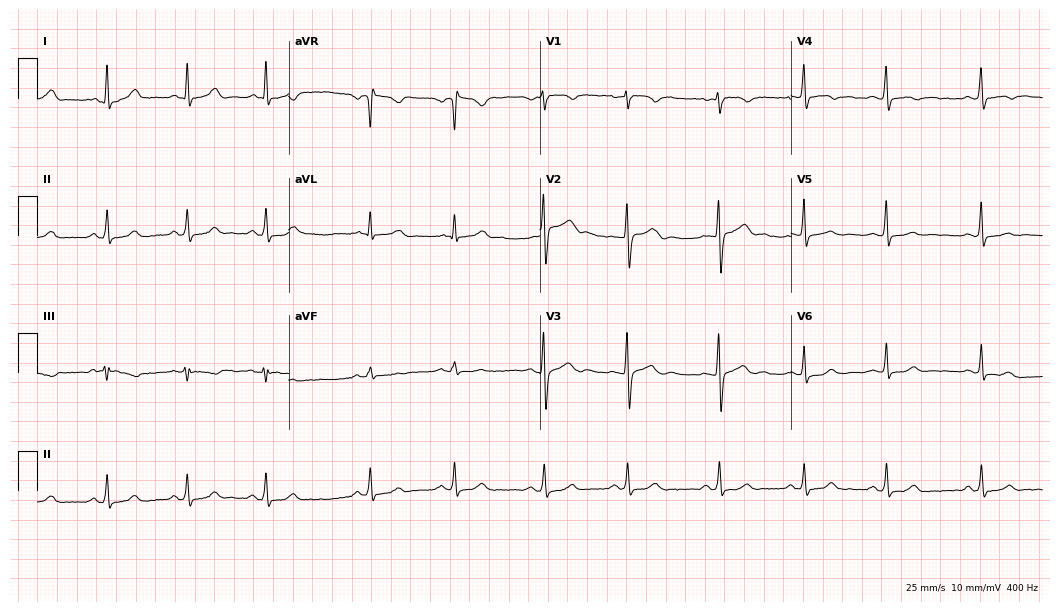
Electrocardiogram, a woman, 24 years old. Overall reading on record: normal ECG.